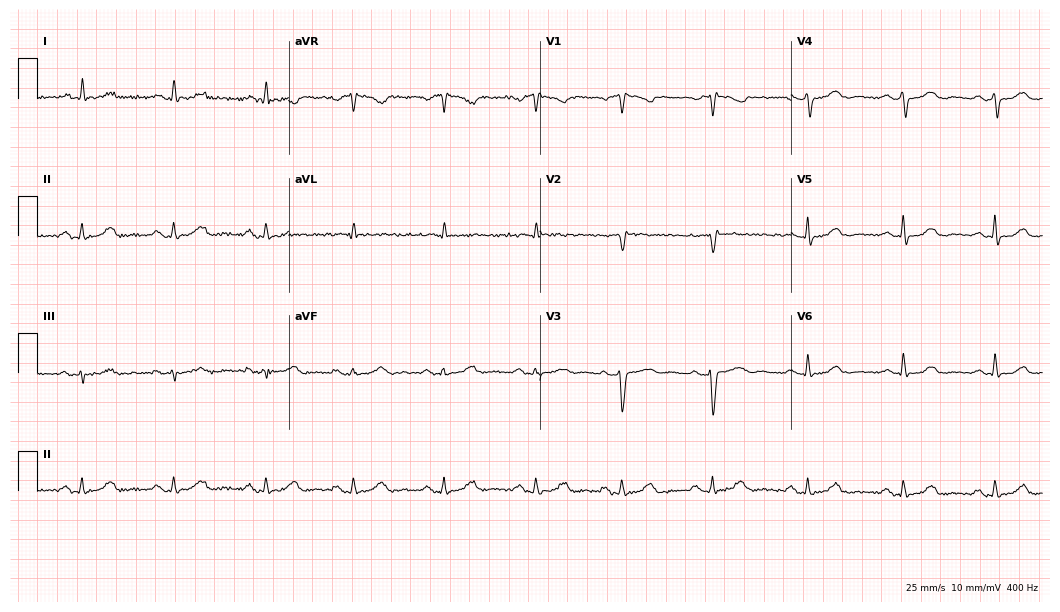
ECG (10.2-second recording at 400 Hz) — a 55-year-old female. Screened for six findings — first-degree AV block, right bundle branch block, left bundle branch block, sinus bradycardia, atrial fibrillation, sinus tachycardia — none is recorded.